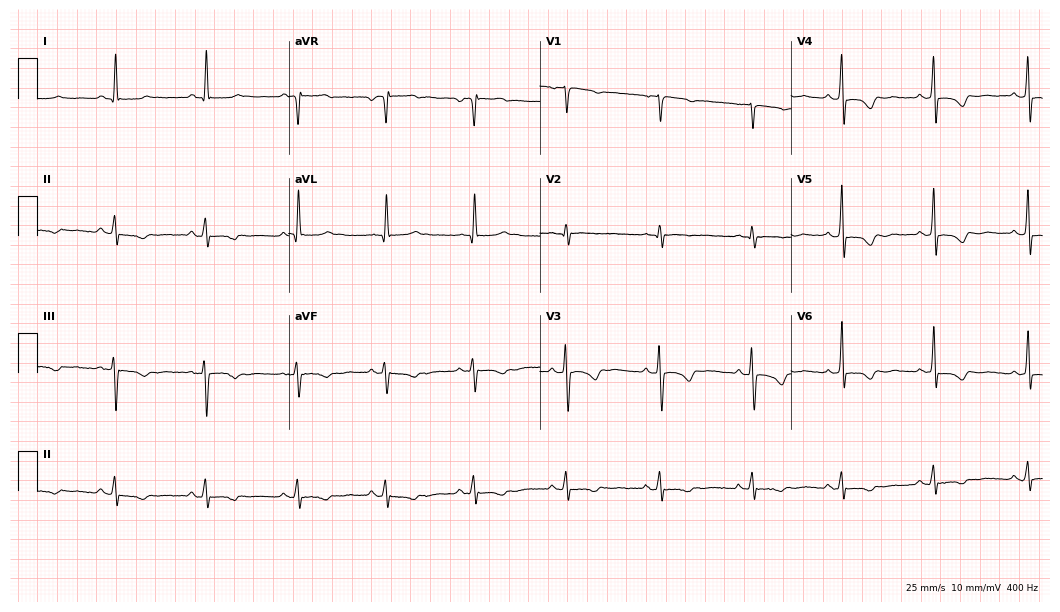
Standard 12-lead ECG recorded from a female, 56 years old (10.2-second recording at 400 Hz). None of these six findings is recorded: first-degree AV block, right bundle branch block, left bundle branch block, sinus bradycardia, atrial fibrillation, sinus tachycardia. Findings outside these six are not listed.